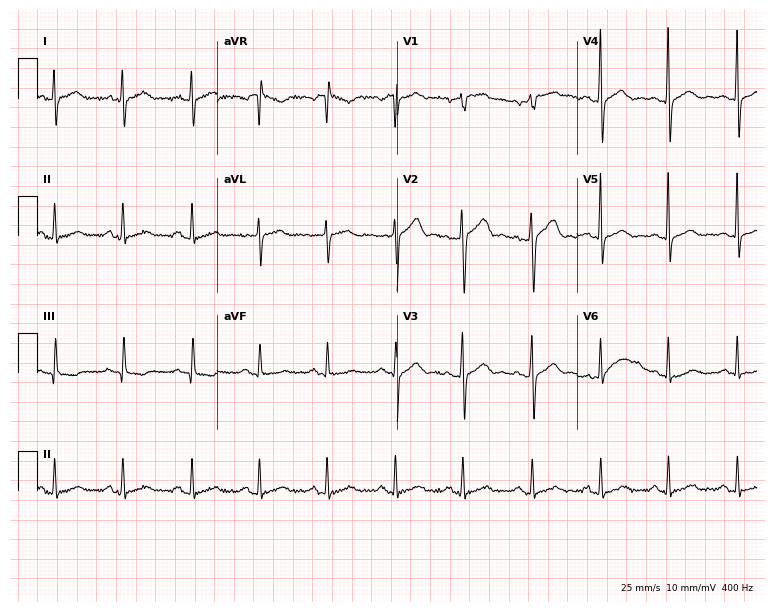
12-lead ECG from a male patient, 50 years old (7.3-second recording at 400 Hz). Recorded interpretation: within normal limits.